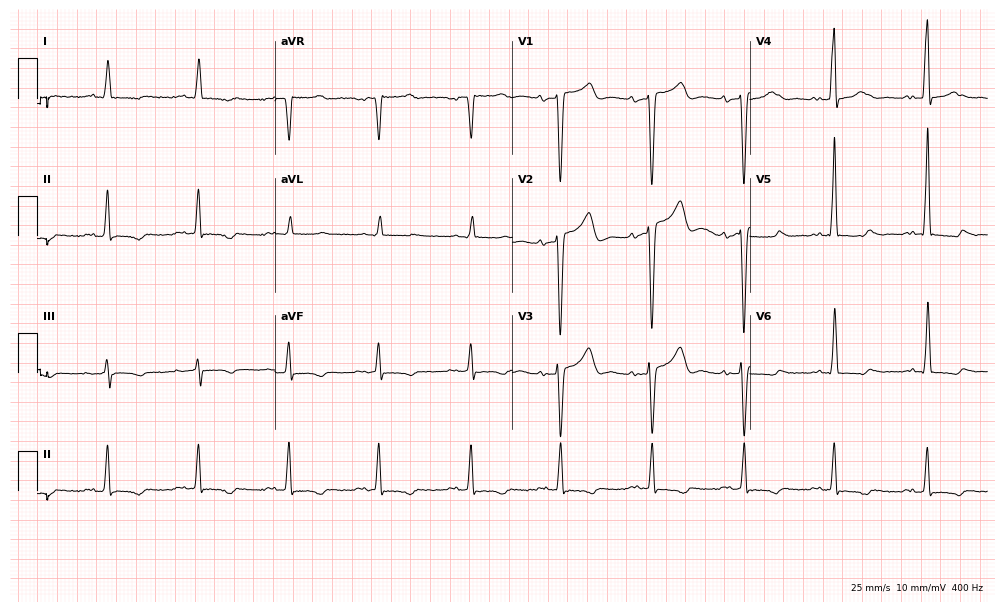
Resting 12-lead electrocardiogram. Patient: a 71-year-old male. None of these six findings is recorded: first-degree AV block, right bundle branch block, left bundle branch block, sinus bradycardia, atrial fibrillation, sinus tachycardia. Only these six findings were labelled.